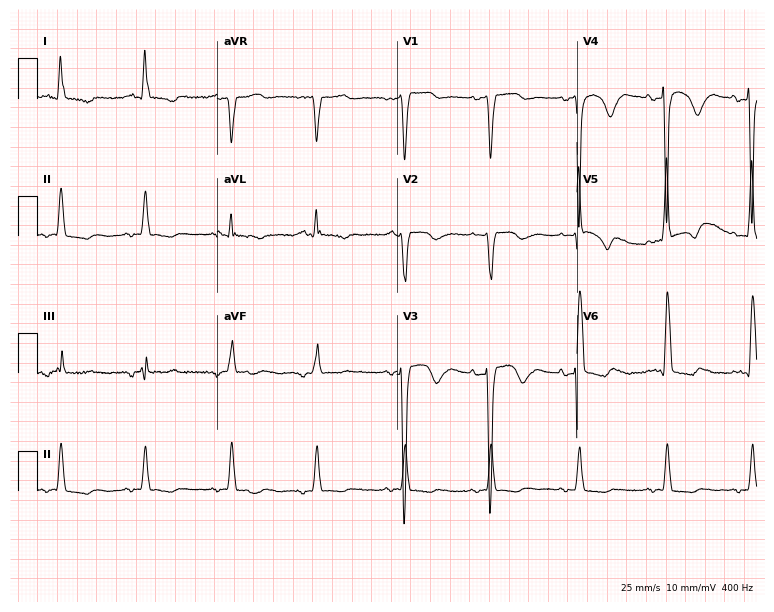
12-lead ECG from a man, 79 years old (7.3-second recording at 400 Hz). No first-degree AV block, right bundle branch block (RBBB), left bundle branch block (LBBB), sinus bradycardia, atrial fibrillation (AF) or sinus tachycardia recorded for this tracing. Other findings, if any, are not listed.